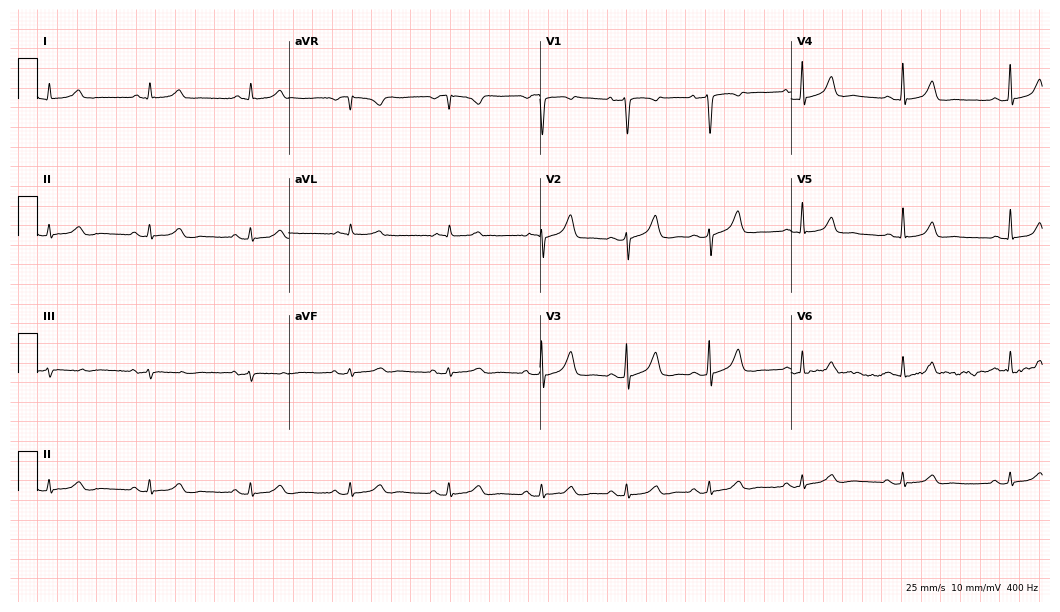
12-lead ECG from a man, 44 years old. Labelled as a normal ECG.